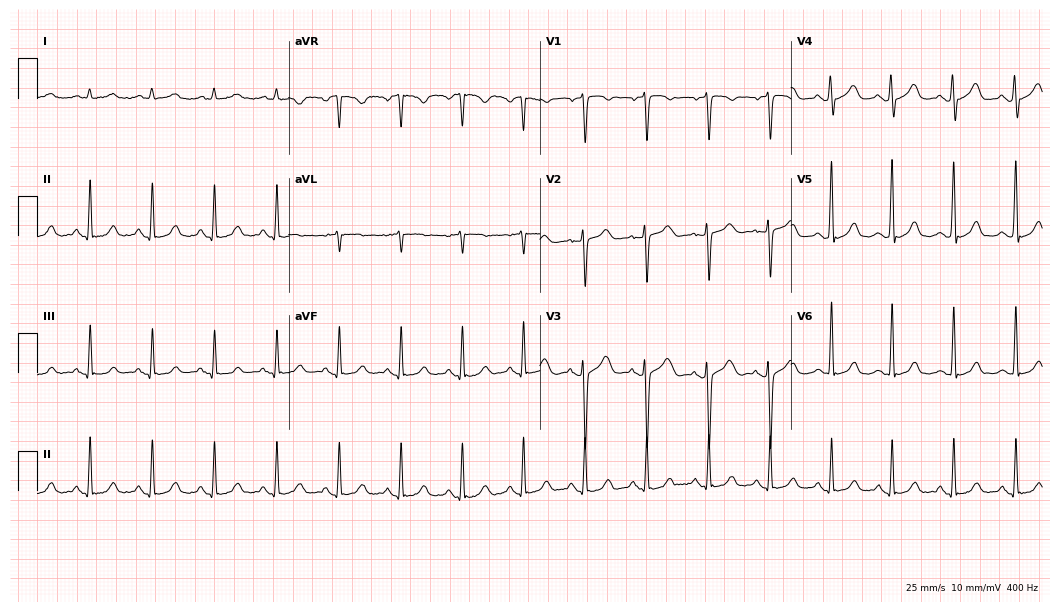
12-lead ECG from a 51-year-old female patient (10.2-second recording at 400 Hz). No first-degree AV block, right bundle branch block, left bundle branch block, sinus bradycardia, atrial fibrillation or sinus tachycardia recorded for this tracing.